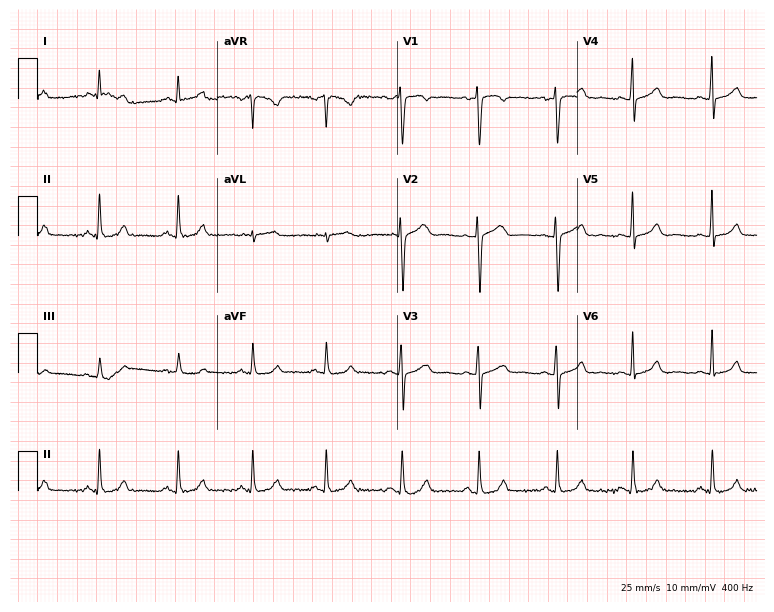
Standard 12-lead ECG recorded from a woman, 29 years old (7.3-second recording at 400 Hz). Read as a normal ECG.